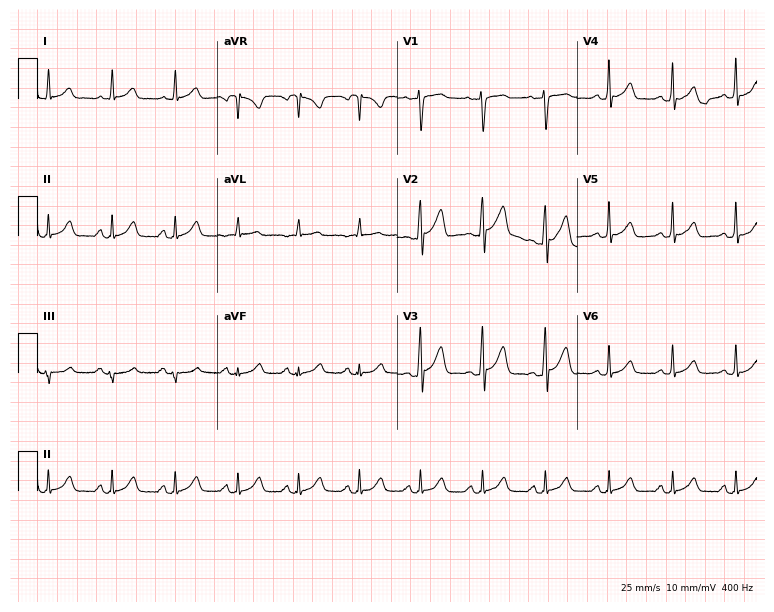
Standard 12-lead ECG recorded from a woman, 41 years old. Read as a normal ECG.